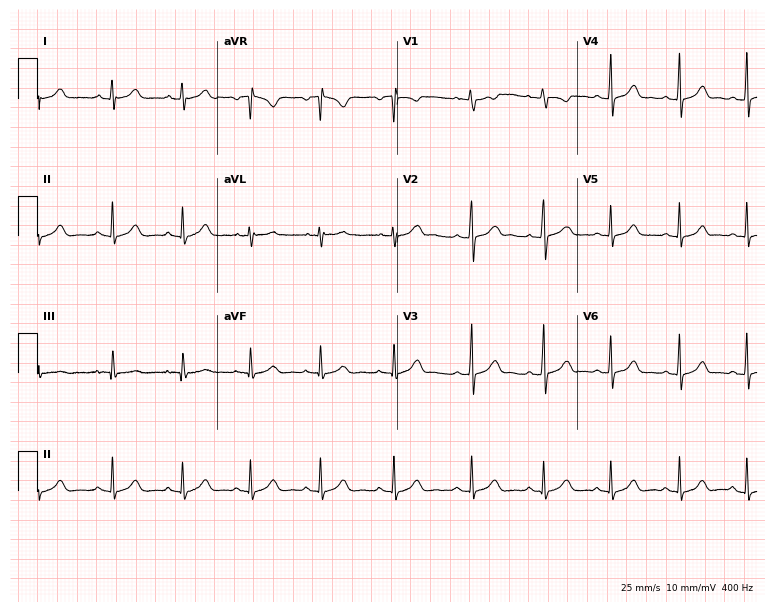
12-lead ECG (7.3-second recording at 400 Hz) from a woman, 21 years old. Labelled as a normal ECG.